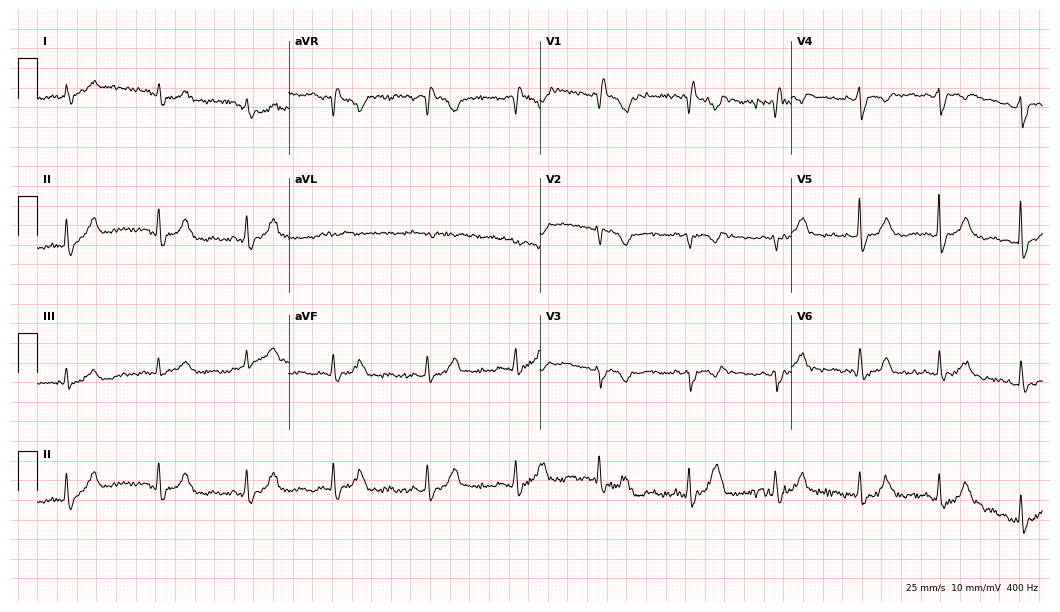
Electrocardiogram, a 32-year-old female. Of the six screened findings (first-degree AV block, right bundle branch block (RBBB), left bundle branch block (LBBB), sinus bradycardia, atrial fibrillation (AF), sinus tachycardia), none is recorded.